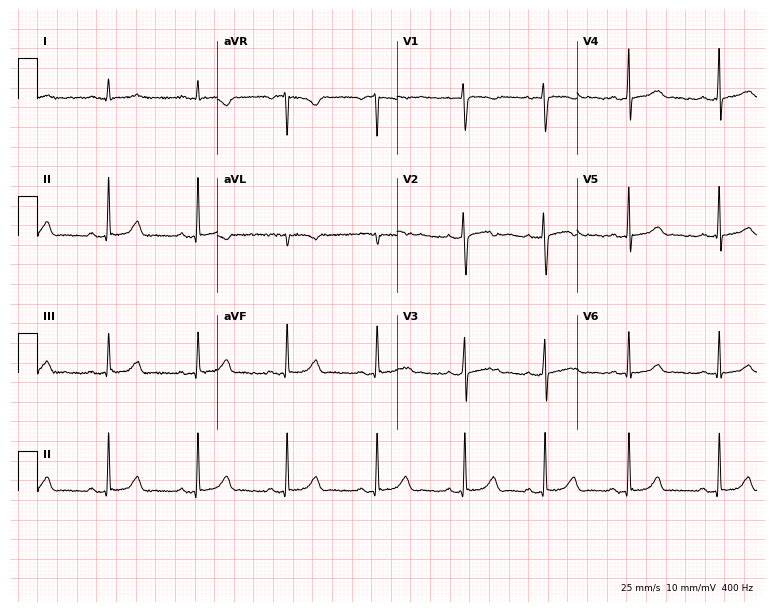
Electrocardiogram, a female patient, 20 years old. Of the six screened findings (first-degree AV block, right bundle branch block, left bundle branch block, sinus bradycardia, atrial fibrillation, sinus tachycardia), none is recorded. Other findings, if any, are not listed.